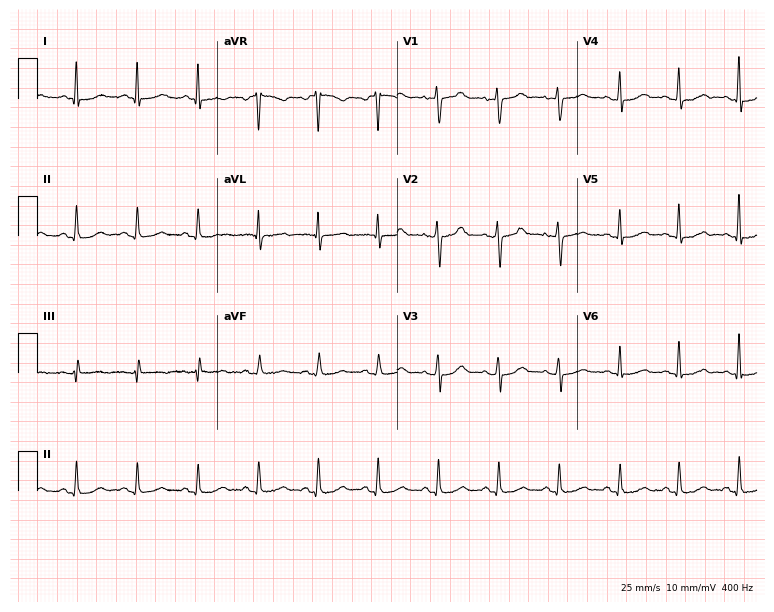
Standard 12-lead ECG recorded from a female patient, 50 years old. None of these six findings is recorded: first-degree AV block, right bundle branch block, left bundle branch block, sinus bradycardia, atrial fibrillation, sinus tachycardia.